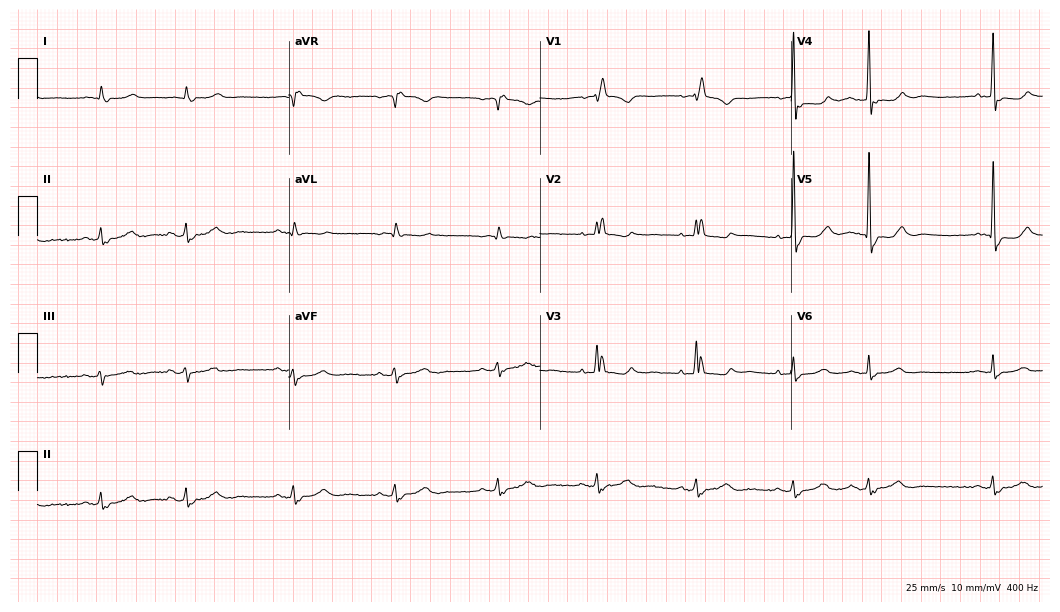
Standard 12-lead ECG recorded from a man, 83 years old. The tracing shows right bundle branch block.